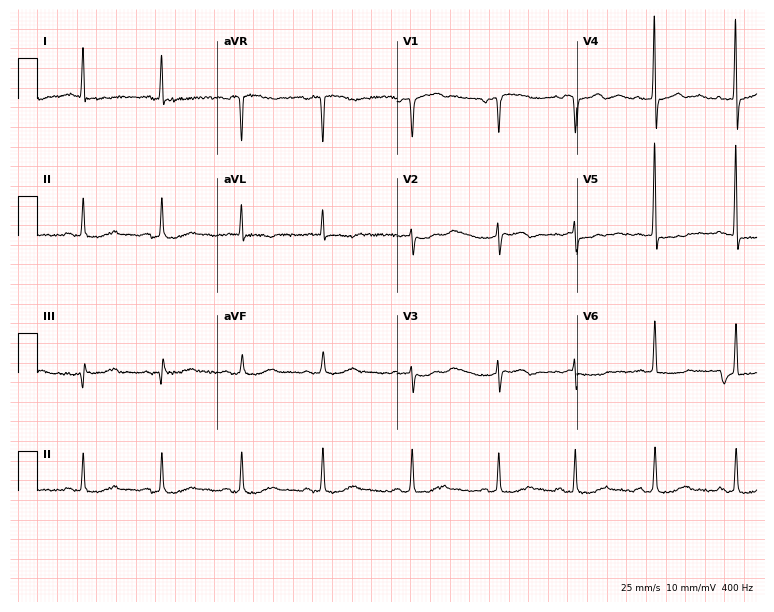
12-lead ECG from a woman, 82 years old (7.3-second recording at 400 Hz). No first-degree AV block, right bundle branch block (RBBB), left bundle branch block (LBBB), sinus bradycardia, atrial fibrillation (AF) or sinus tachycardia recorded for this tracing.